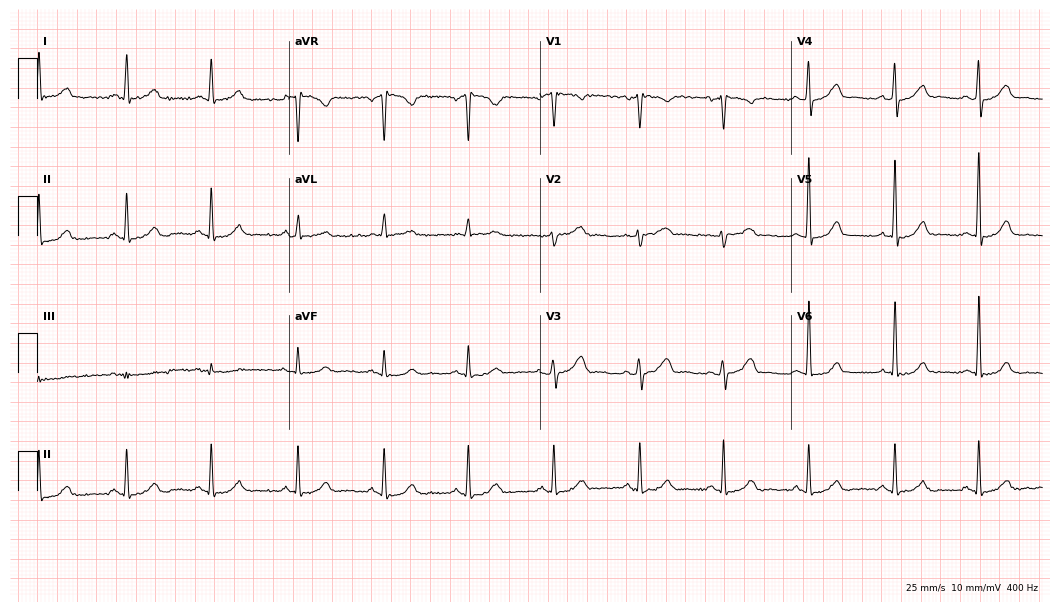
Standard 12-lead ECG recorded from a woman, 54 years old (10.2-second recording at 400 Hz). None of these six findings is recorded: first-degree AV block, right bundle branch block (RBBB), left bundle branch block (LBBB), sinus bradycardia, atrial fibrillation (AF), sinus tachycardia.